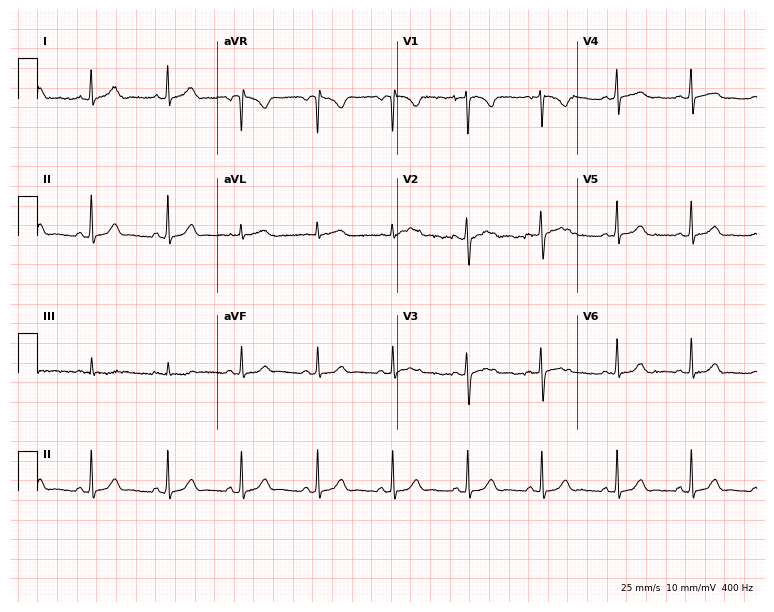
Resting 12-lead electrocardiogram. Patient: a woman, 18 years old. Read as a normal ECG.